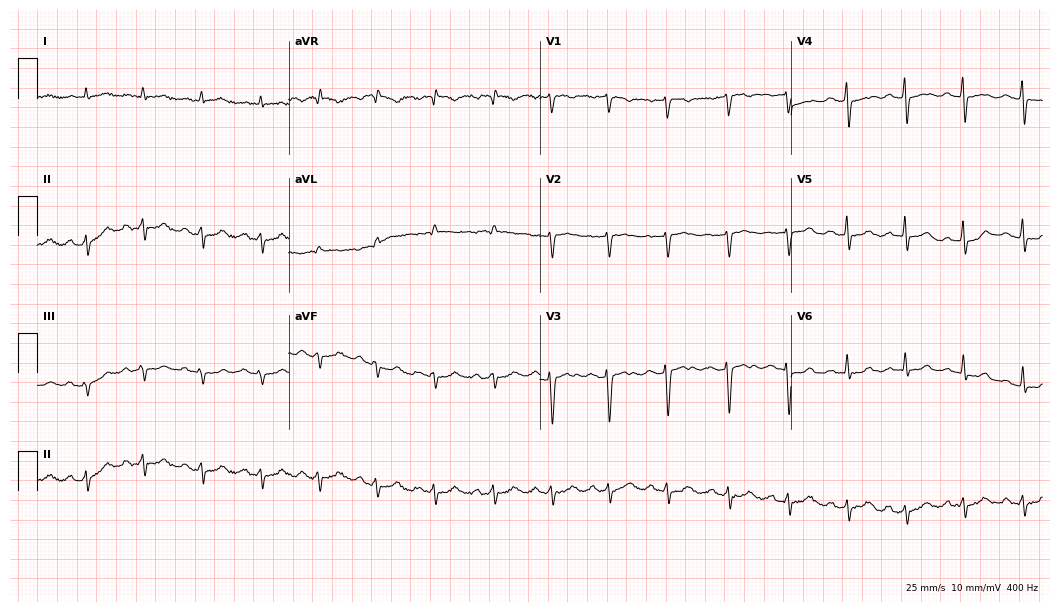
Electrocardiogram, a female, 59 years old. Of the six screened findings (first-degree AV block, right bundle branch block, left bundle branch block, sinus bradycardia, atrial fibrillation, sinus tachycardia), none is recorded.